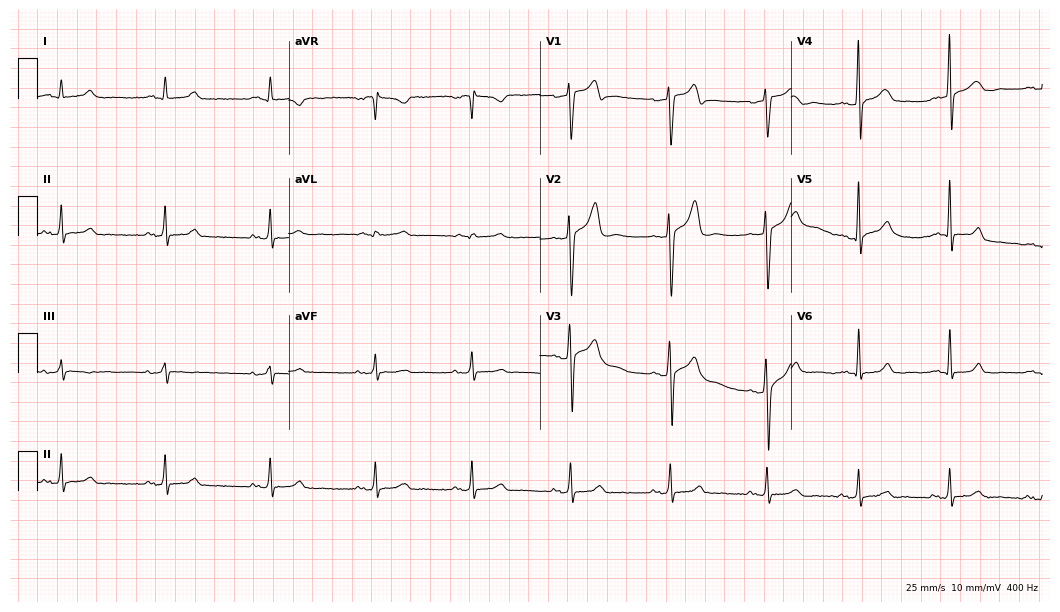
Electrocardiogram, a 45-year-old male. Of the six screened findings (first-degree AV block, right bundle branch block (RBBB), left bundle branch block (LBBB), sinus bradycardia, atrial fibrillation (AF), sinus tachycardia), none is recorded. Other findings, if any, are not listed.